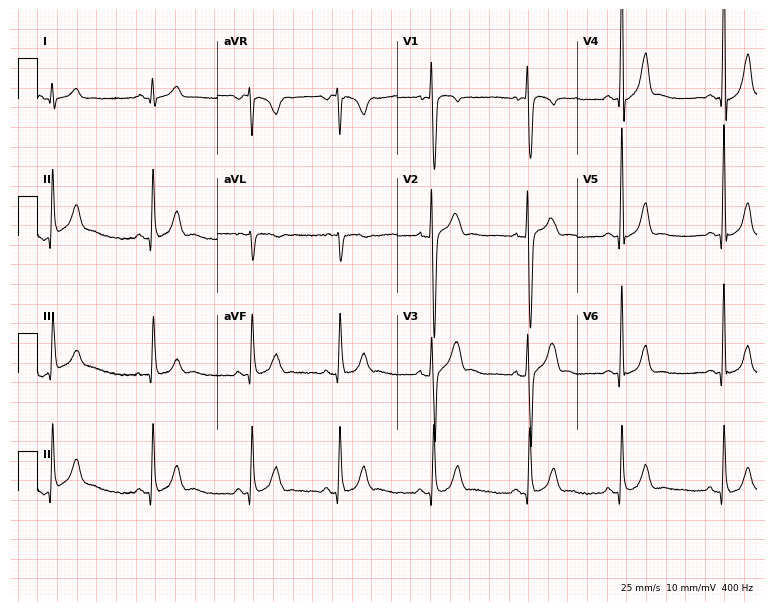
ECG (7.3-second recording at 400 Hz) — a man, 18 years old. Labelled as a normal ECG.